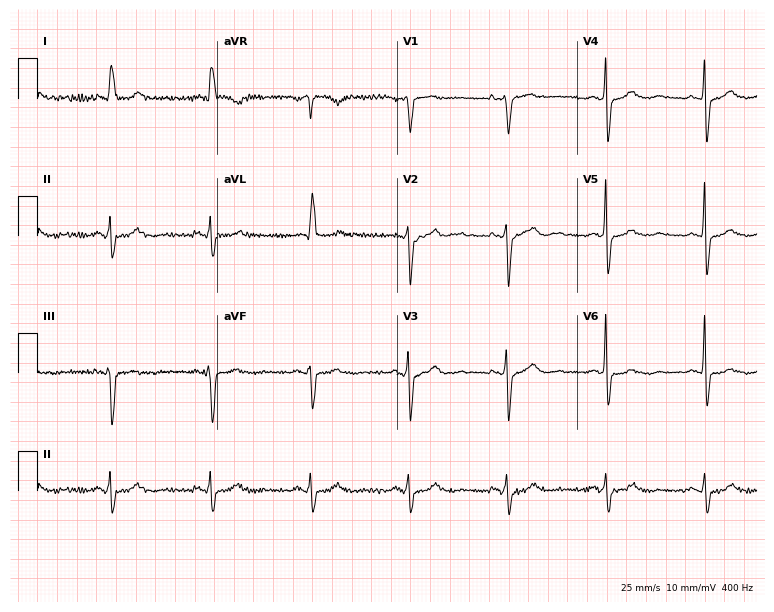
12-lead ECG from a 79-year-old woman (7.3-second recording at 400 Hz). No first-degree AV block, right bundle branch block (RBBB), left bundle branch block (LBBB), sinus bradycardia, atrial fibrillation (AF) or sinus tachycardia recorded for this tracing.